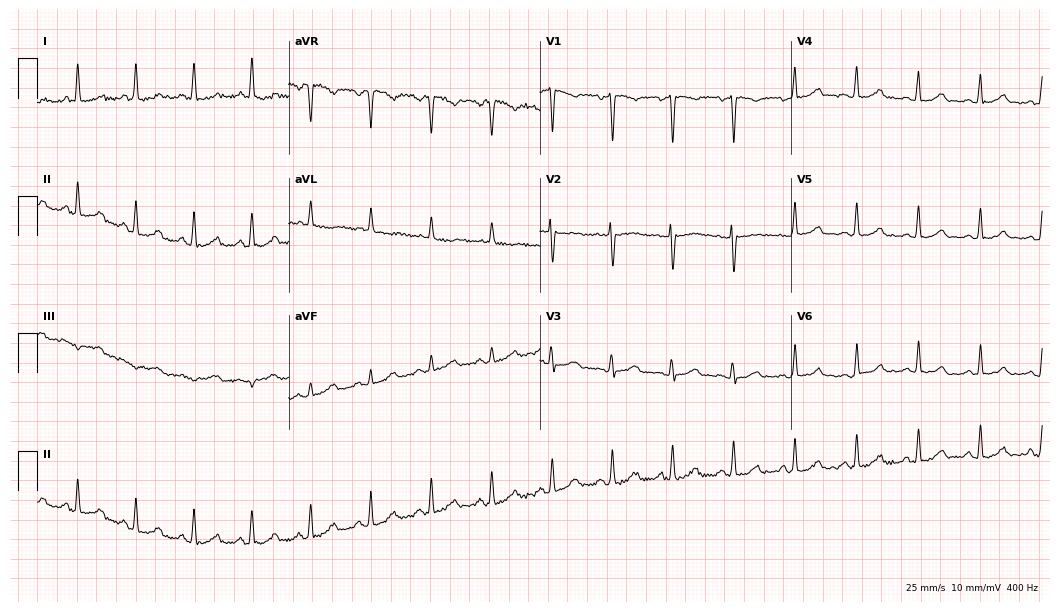
Resting 12-lead electrocardiogram (10.2-second recording at 400 Hz). Patient: a 39-year-old female. None of these six findings is recorded: first-degree AV block, right bundle branch block, left bundle branch block, sinus bradycardia, atrial fibrillation, sinus tachycardia. Other findings, if any, are not listed.